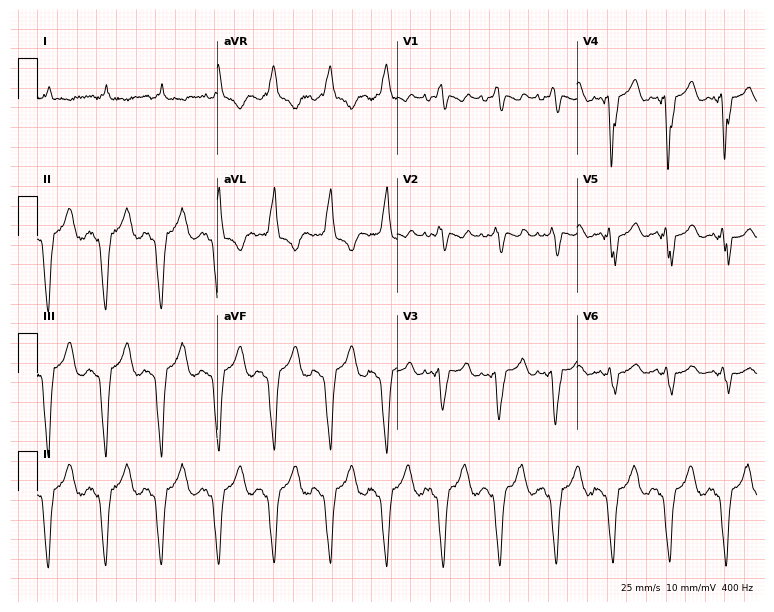
Electrocardiogram, a 71-year-old man. Interpretation includes left bundle branch block (LBBB).